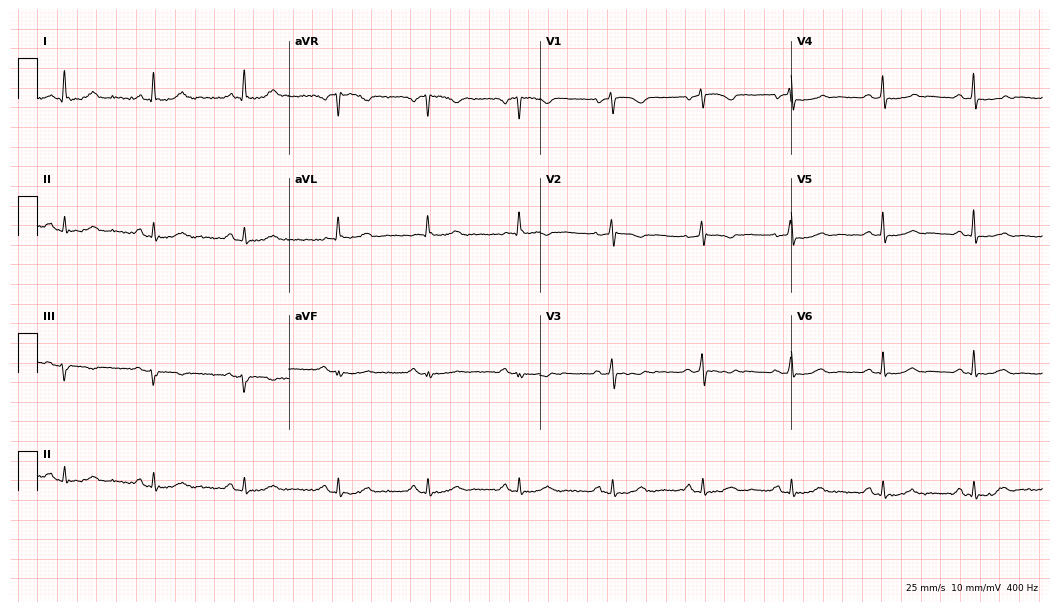
ECG (10.2-second recording at 400 Hz) — a 46-year-old female. Labelled as a normal ECG.